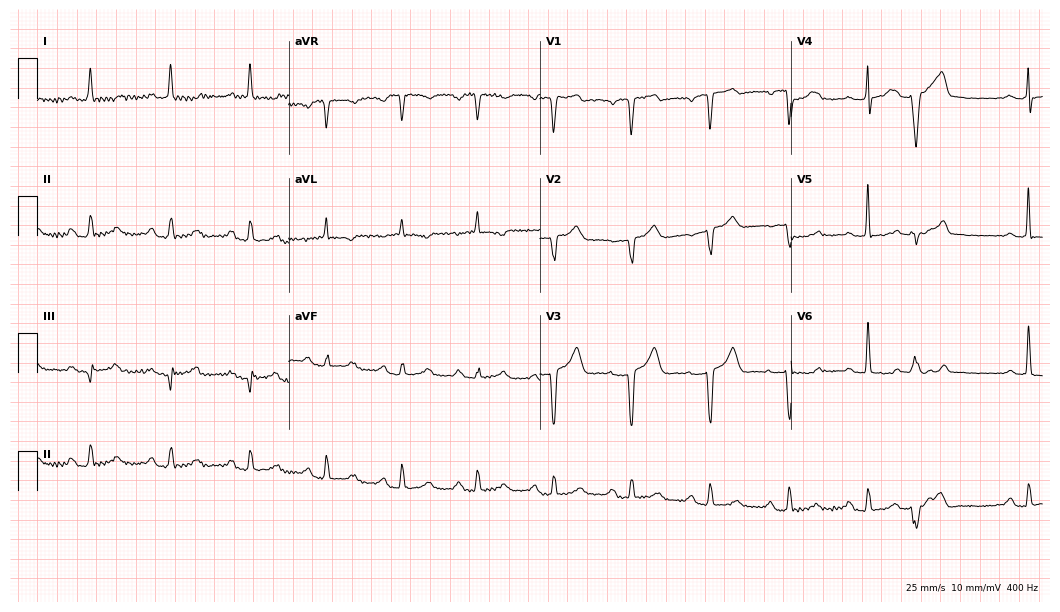
Standard 12-lead ECG recorded from a female patient, 71 years old (10.2-second recording at 400 Hz). None of these six findings is recorded: first-degree AV block, right bundle branch block (RBBB), left bundle branch block (LBBB), sinus bradycardia, atrial fibrillation (AF), sinus tachycardia.